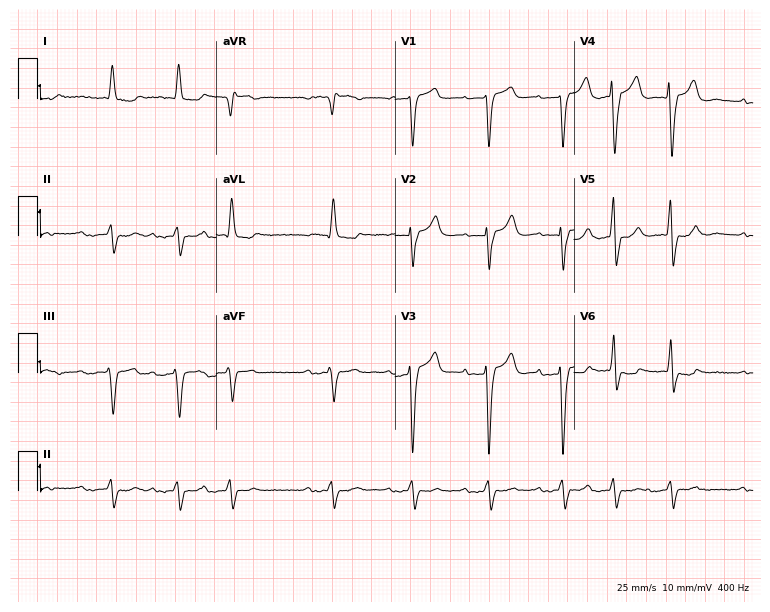
Standard 12-lead ECG recorded from a 70-year-old man (7.3-second recording at 400 Hz). None of these six findings is recorded: first-degree AV block, right bundle branch block (RBBB), left bundle branch block (LBBB), sinus bradycardia, atrial fibrillation (AF), sinus tachycardia. Only these six findings were labelled.